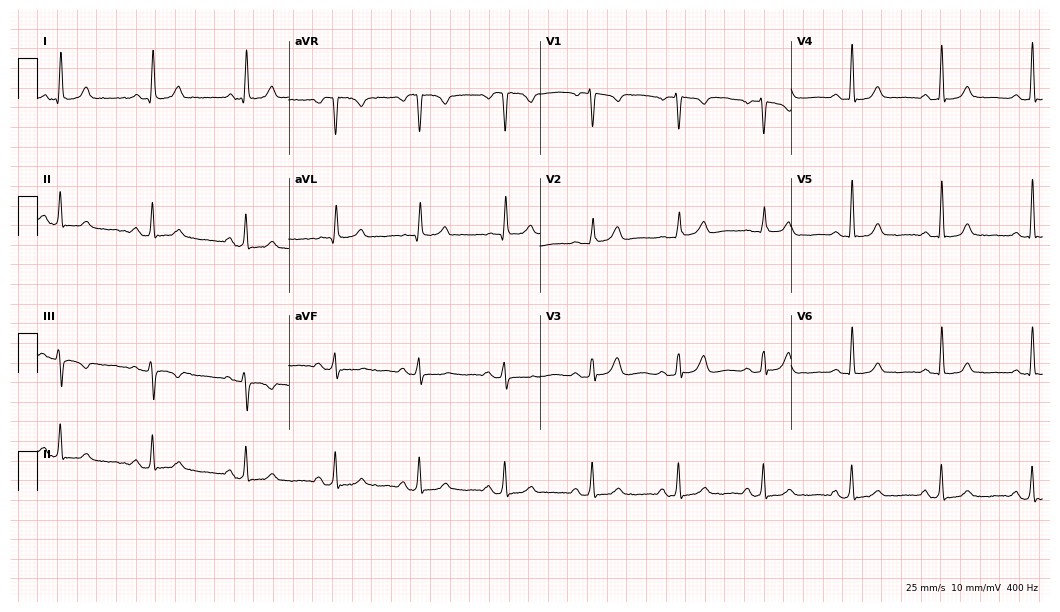
Electrocardiogram, a 57-year-old female. Of the six screened findings (first-degree AV block, right bundle branch block, left bundle branch block, sinus bradycardia, atrial fibrillation, sinus tachycardia), none is recorded. Findings outside these six are not listed.